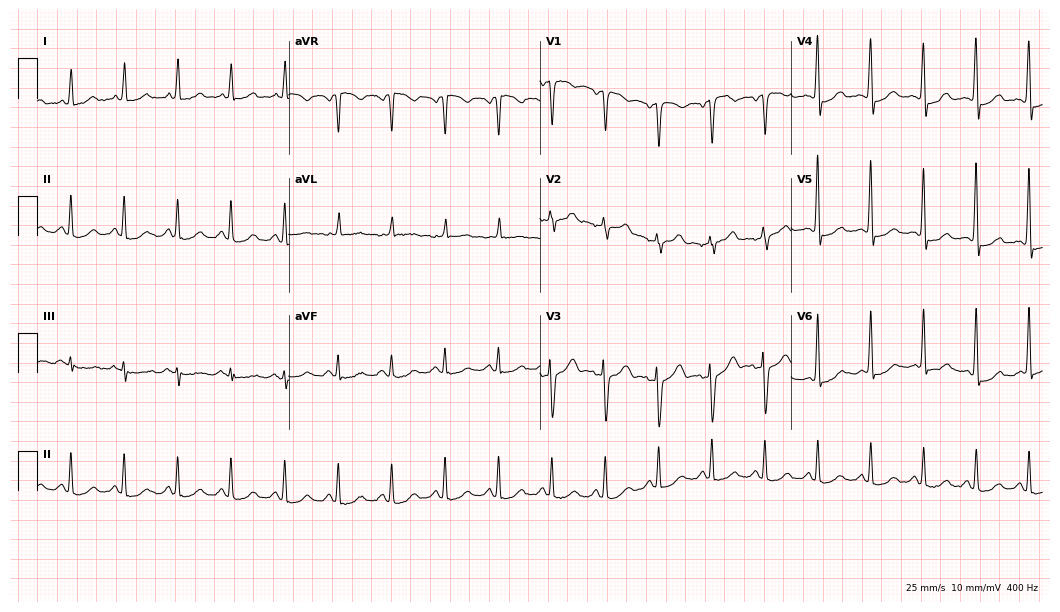
Standard 12-lead ECG recorded from a female patient, 56 years old. None of these six findings is recorded: first-degree AV block, right bundle branch block (RBBB), left bundle branch block (LBBB), sinus bradycardia, atrial fibrillation (AF), sinus tachycardia.